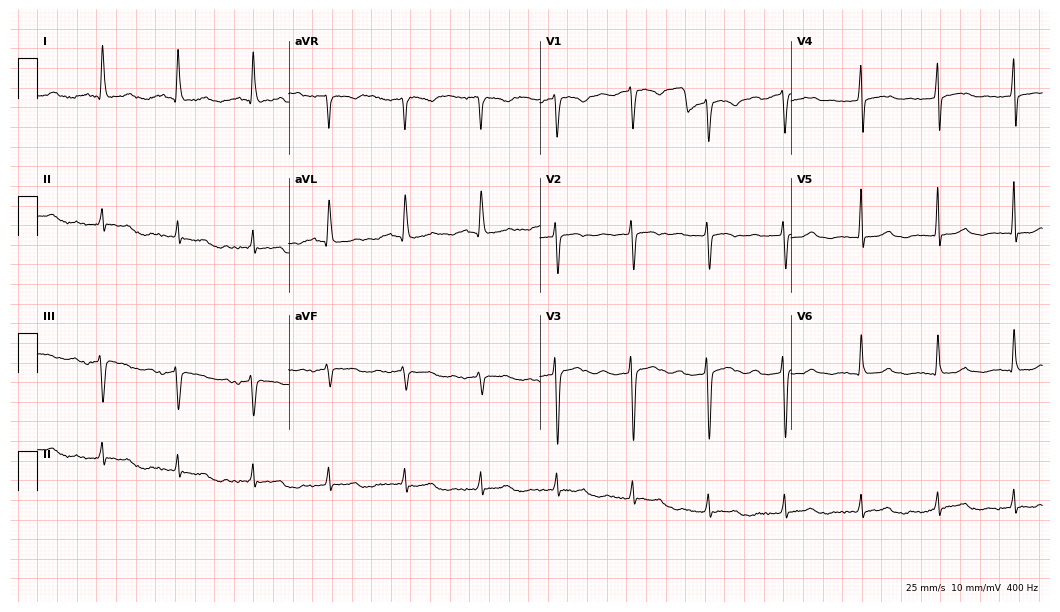
Electrocardiogram (10.2-second recording at 400 Hz), a female patient, 75 years old. Of the six screened findings (first-degree AV block, right bundle branch block, left bundle branch block, sinus bradycardia, atrial fibrillation, sinus tachycardia), none is recorded. Other findings, if any, are not listed.